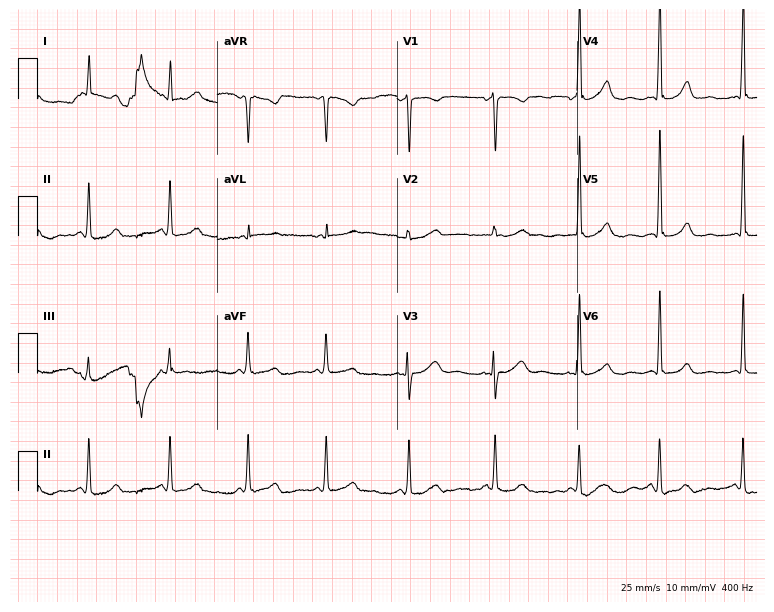
Standard 12-lead ECG recorded from a 59-year-old female patient (7.3-second recording at 400 Hz). Read as a normal ECG.